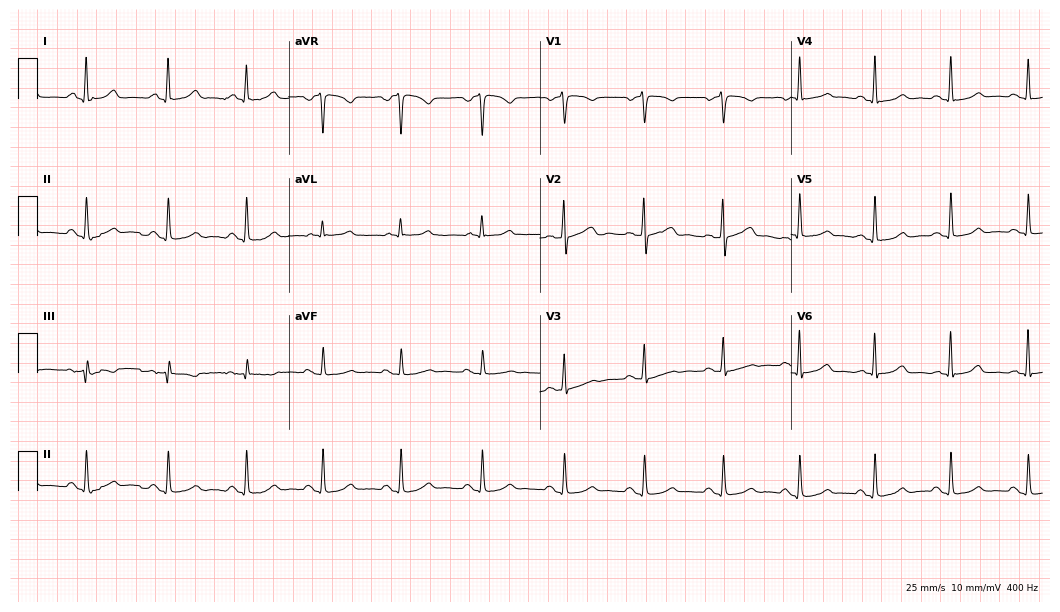
ECG — a 56-year-old female patient. Labelled as a normal ECG.